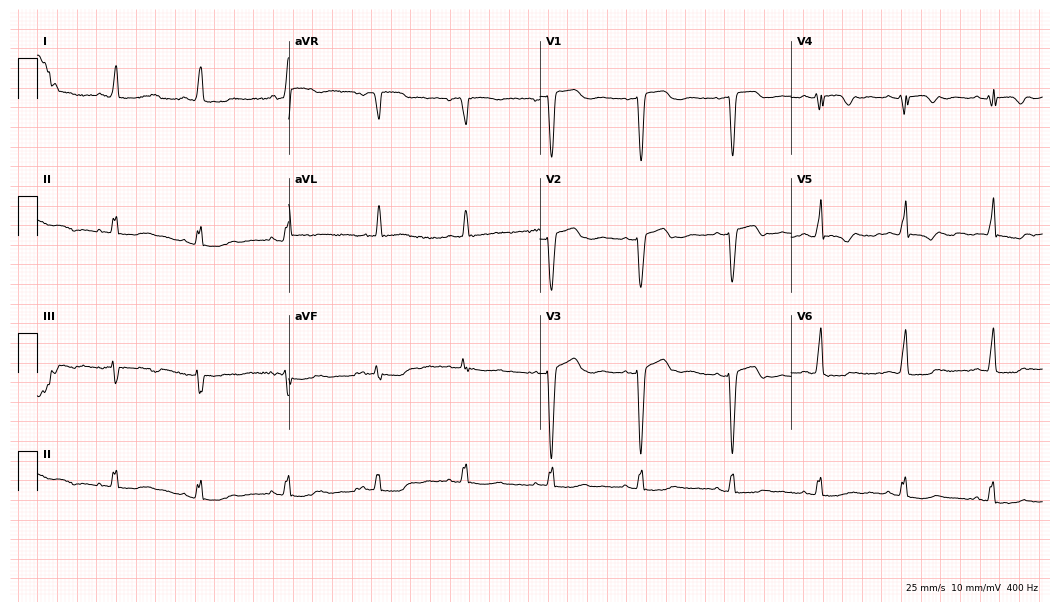
12-lead ECG from a 54-year-old woman. Screened for six findings — first-degree AV block, right bundle branch block, left bundle branch block, sinus bradycardia, atrial fibrillation, sinus tachycardia — none is recorded.